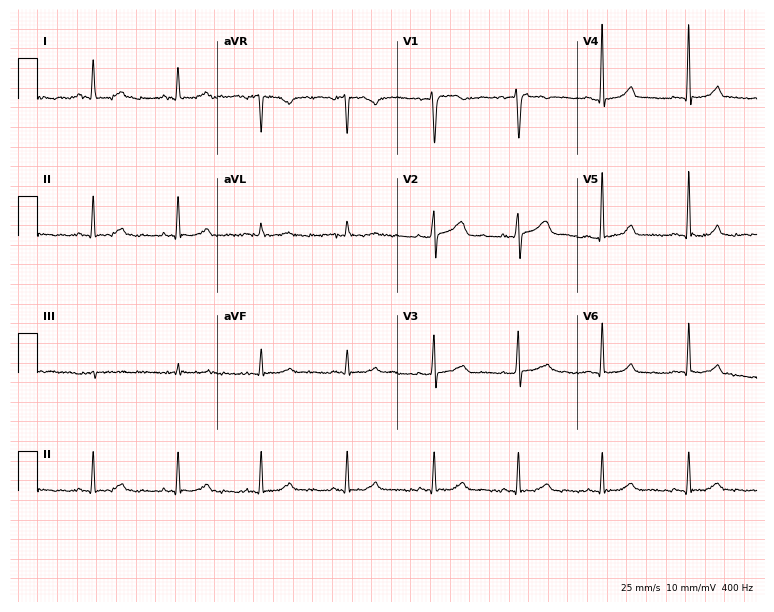
Resting 12-lead electrocardiogram. Patient: a female, 51 years old. None of these six findings is recorded: first-degree AV block, right bundle branch block, left bundle branch block, sinus bradycardia, atrial fibrillation, sinus tachycardia.